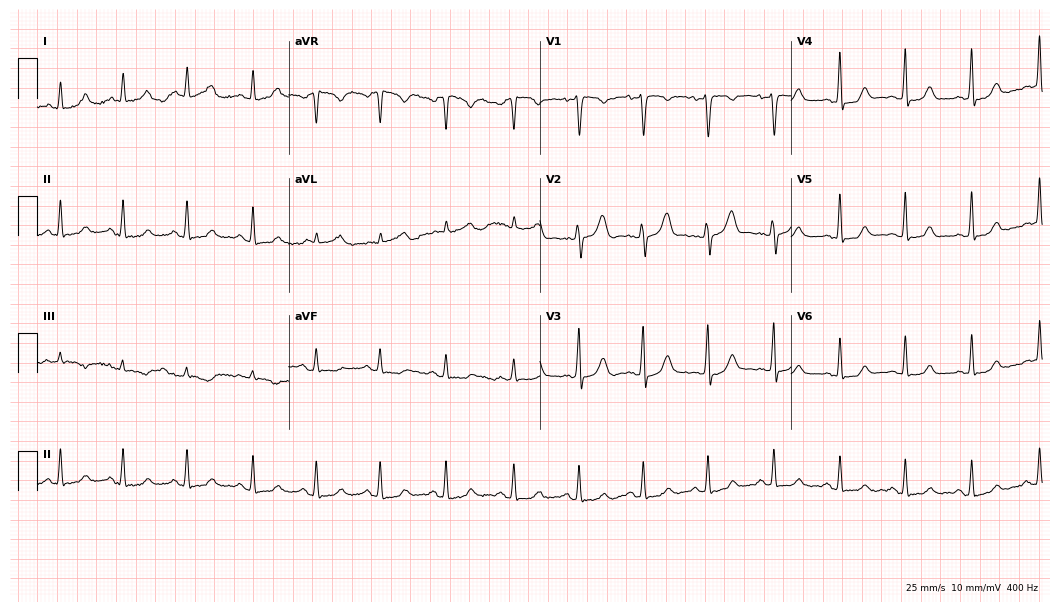
12-lead ECG from a 33-year-old female. Screened for six findings — first-degree AV block, right bundle branch block, left bundle branch block, sinus bradycardia, atrial fibrillation, sinus tachycardia — none is recorded.